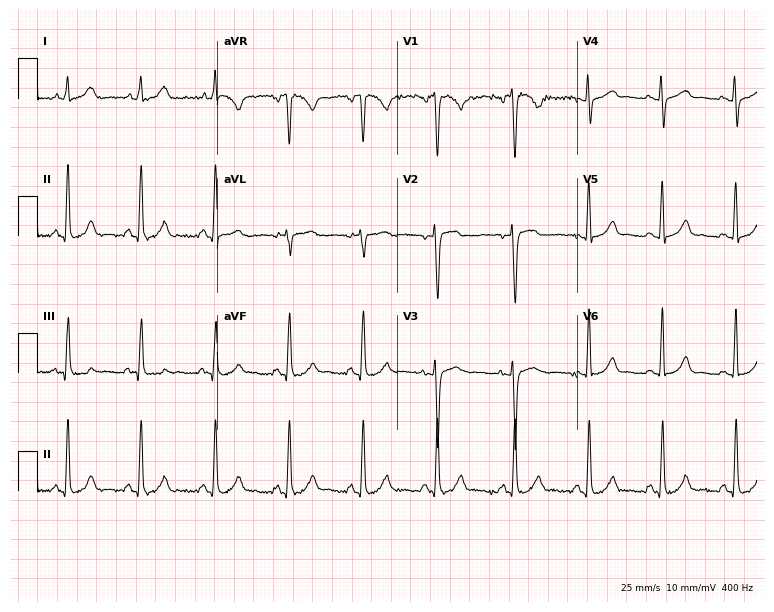
Electrocardiogram (7.3-second recording at 400 Hz), a 31-year-old woman. Of the six screened findings (first-degree AV block, right bundle branch block (RBBB), left bundle branch block (LBBB), sinus bradycardia, atrial fibrillation (AF), sinus tachycardia), none is recorded. Findings outside these six are not listed.